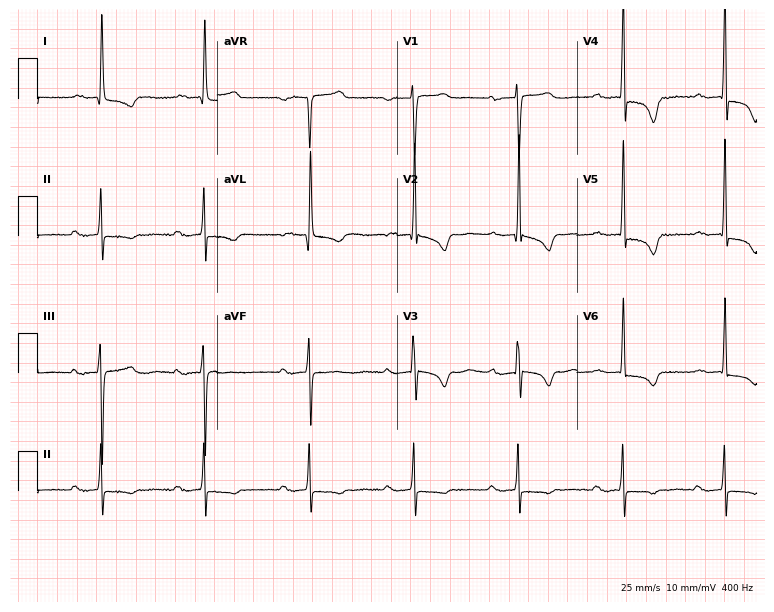
Standard 12-lead ECG recorded from a woman, 79 years old (7.3-second recording at 400 Hz). The tracing shows first-degree AV block.